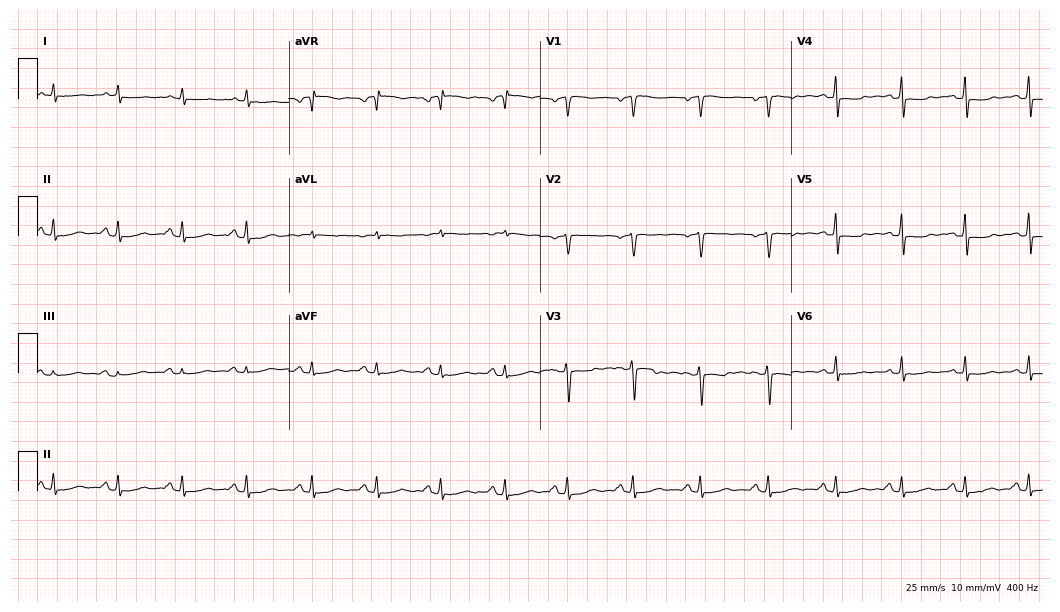
Resting 12-lead electrocardiogram (10.2-second recording at 400 Hz). Patient: a 45-year-old woman. None of these six findings is recorded: first-degree AV block, right bundle branch block, left bundle branch block, sinus bradycardia, atrial fibrillation, sinus tachycardia. Other findings, if any, are not listed.